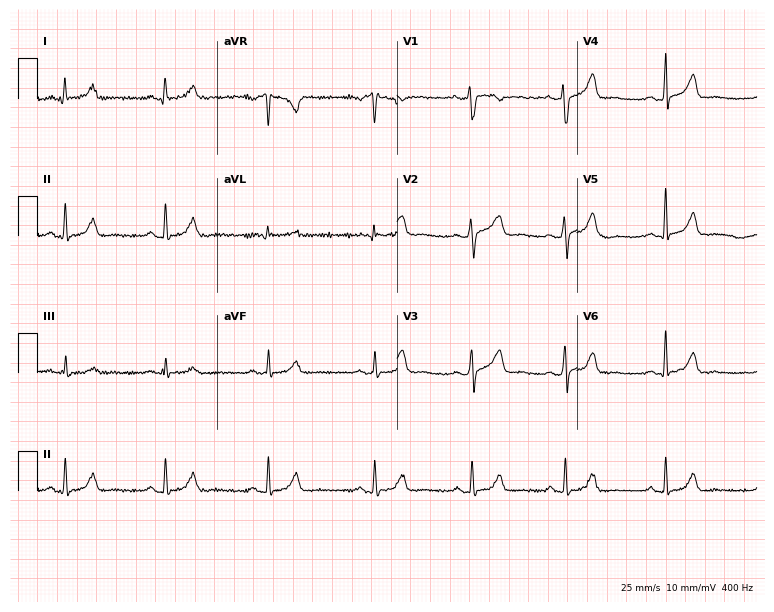
Standard 12-lead ECG recorded from a 40-year-old female patient (7.3-second recording at 400 Hz). Read as a normal ECG.